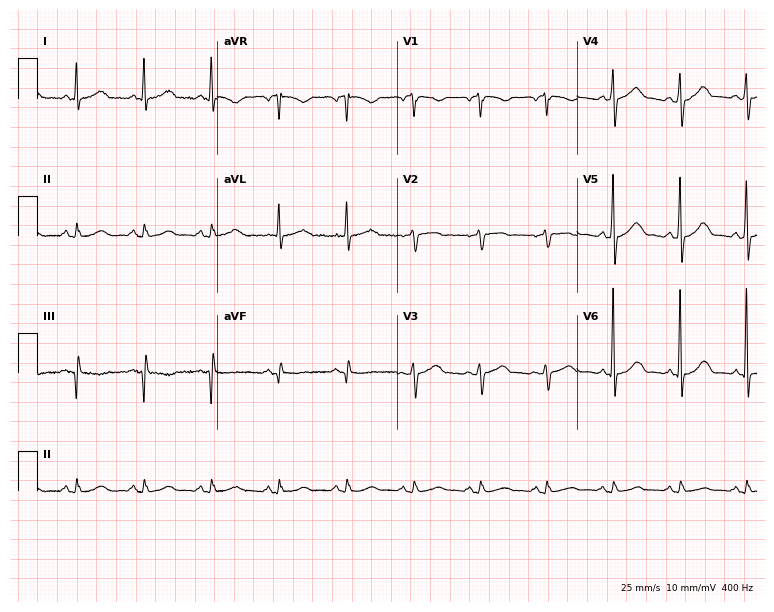
Standard 12-lead ECG recorded from a man, 65 years old. None of these six findings is recorded: first-degree AV block, right bundle branch block (RBBB), left bundle branch block (LBBB), sinus bradycardia, atrial fibrillation (AF), sinus tachycardia. Findings outside these six are not listed.